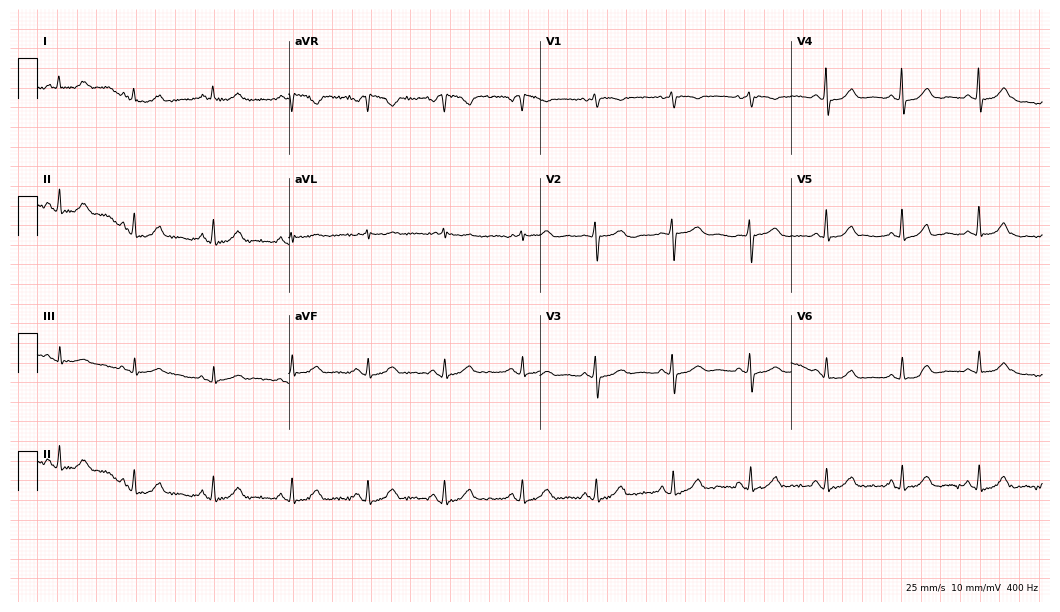
ECG — a female patient, 77 years old. Labelled as a normal ECG.